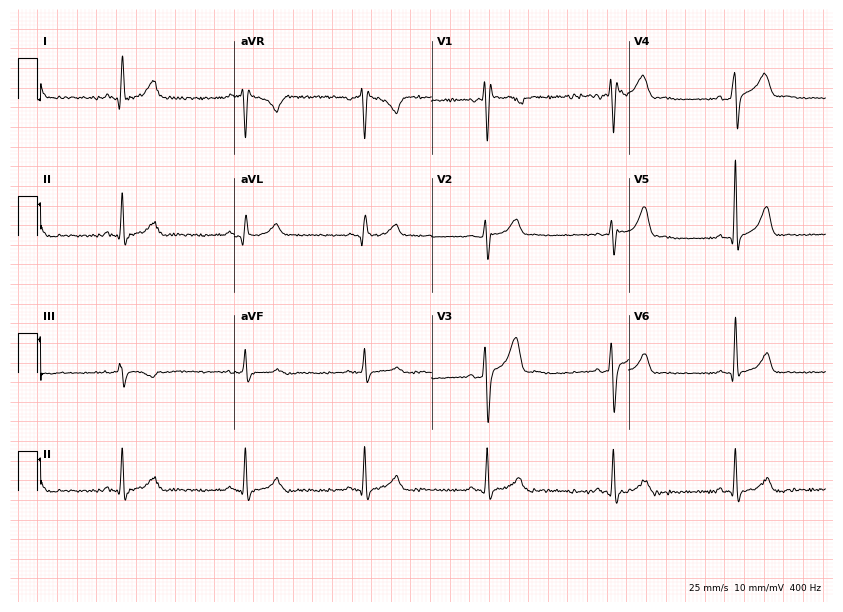
ECG (8-second recording at 400 Hz) — a 40-year-old male patient. Screened for six findings — first-degree AV block, right bundle branch block, left bundle branch block, sinus bradycardia, atrial fibrillation, sinus tachycardia — none is recorded. Other findings, if any, are not listed.